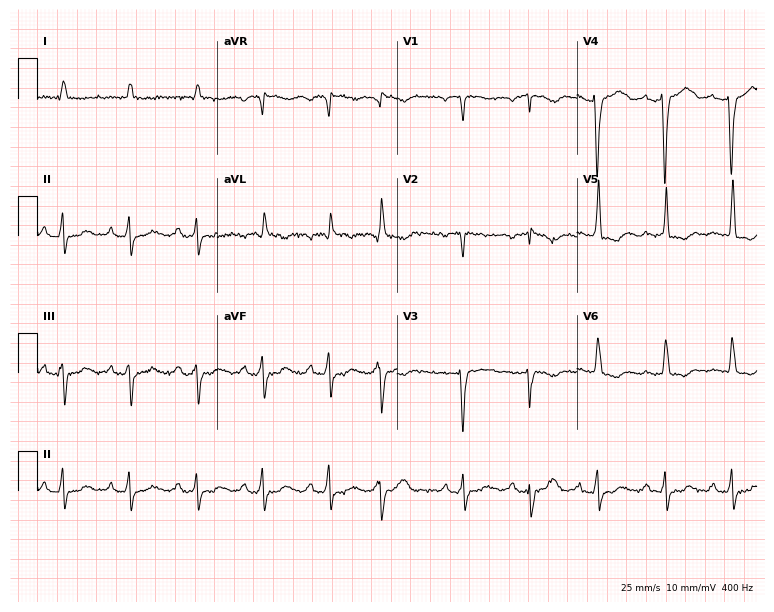
Electrocardiogram, a 77-year-old woman. Of the six screened findings (first-degree AV block, right bundle branch block (RBBB), left bundle branch block (LBBB), sinus bradycardia, atrial fibrillation (AF), sinus tachycardia), none is recorded. Findings outside these six are not listed.